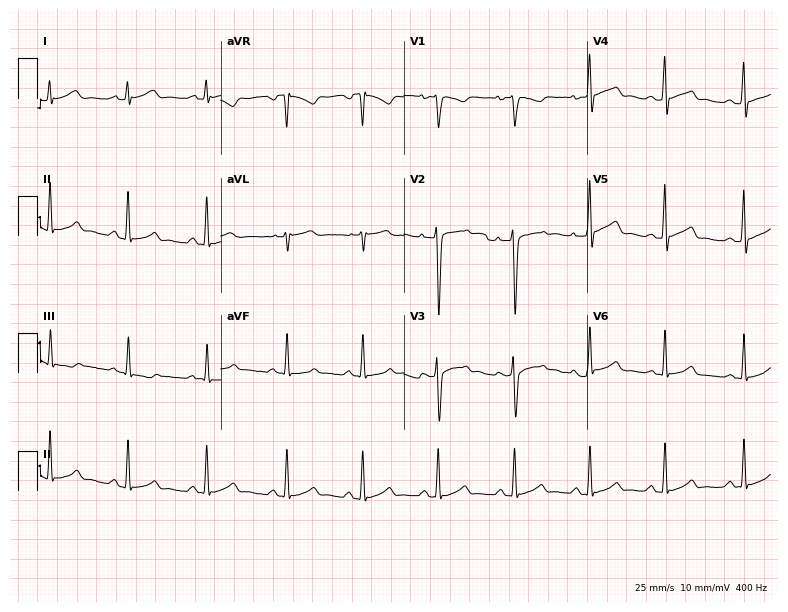
Standard 12-lead ECG recorded from a 26-year-old female patient. Read as a normal ECG.